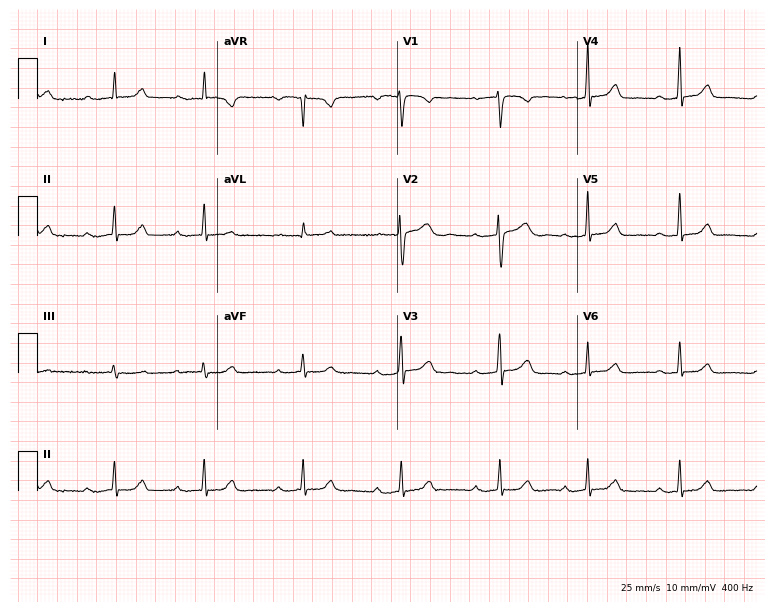
12-lead ECG from a 47-year-old woman (7.3-second recording at 400 Hz). No first-degree AV block, right bundle branch block (RBBB), left bundle branch block (LBBB), sinus bradycardia, atrial fibrillation (AF) or sinus tachycardia recorded for this tracing. Only these six findings were labelled.